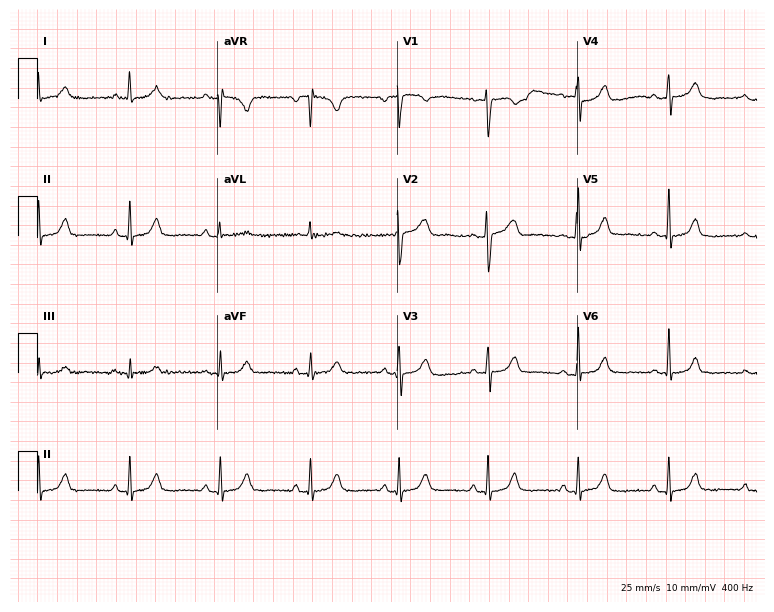
12-lead ECG (7.3-second recording at 400 Hz) from a 46-year-old female. Screened for six findings — first-degree AV block, right bundle branch block, left bundle branch block, sinus bradycardia, atrial fibrillation, sinus tachycardia — none is recorded. Only these six findings were labelled.